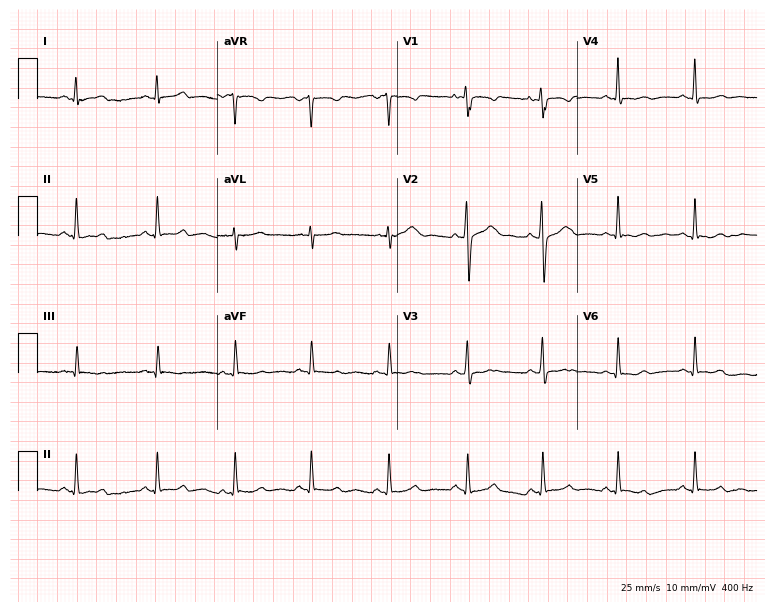
Standard 12-lead ECG recorded from a 28-year-old woman (7.3-second recording at 400 Hz). Read as a normal ECG.